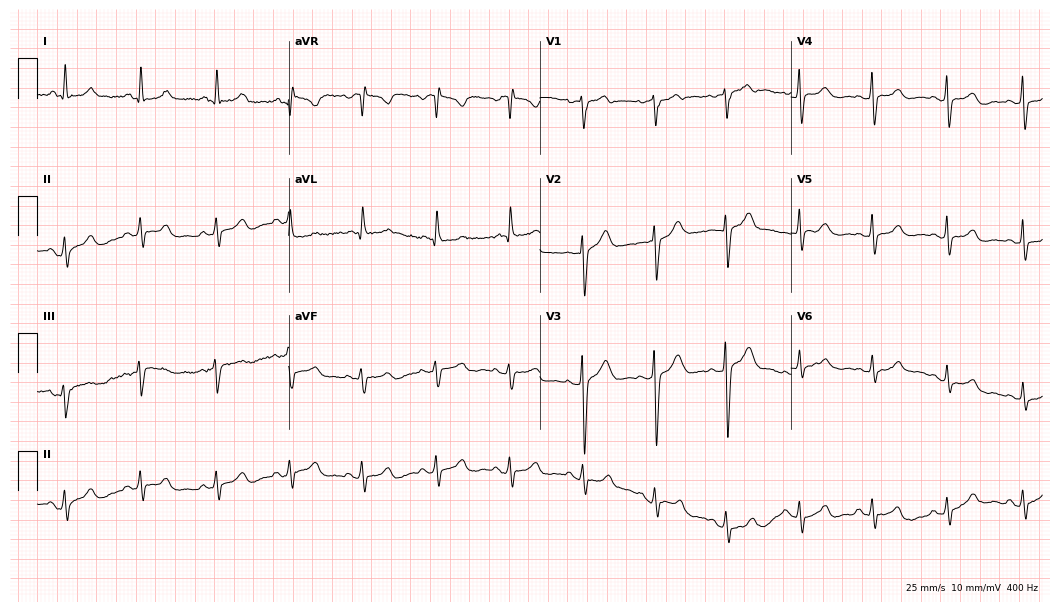
Resting 12-lead electrocardiogram. Patient: a woman, 51 years old. Read as a normal ECG.